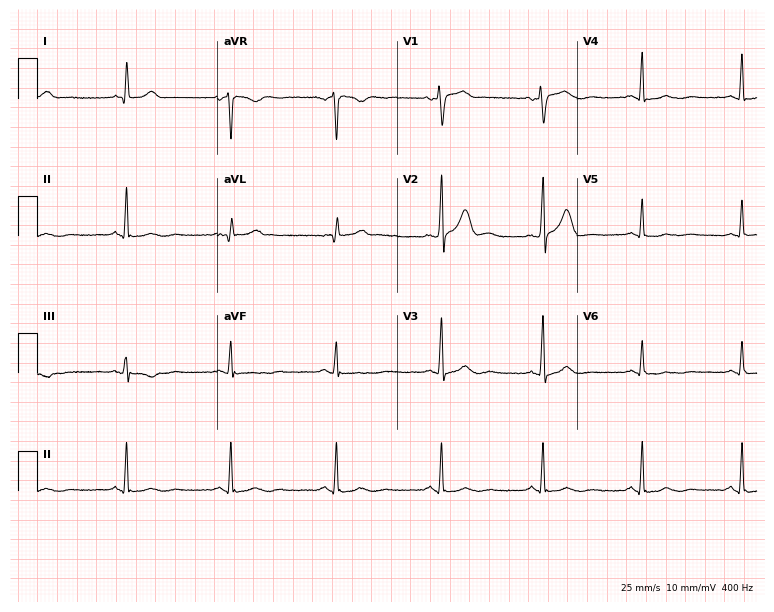
Resting 12-lead electrocardiogram. Patient: a 66-year-old male. None of these six findings is recorded: first-degree AV block, right bundle branch block, left bundle branch block, sinus bradycardia, atrial fibrillation, sinus tachycardia. Findings outside these six are not listed.